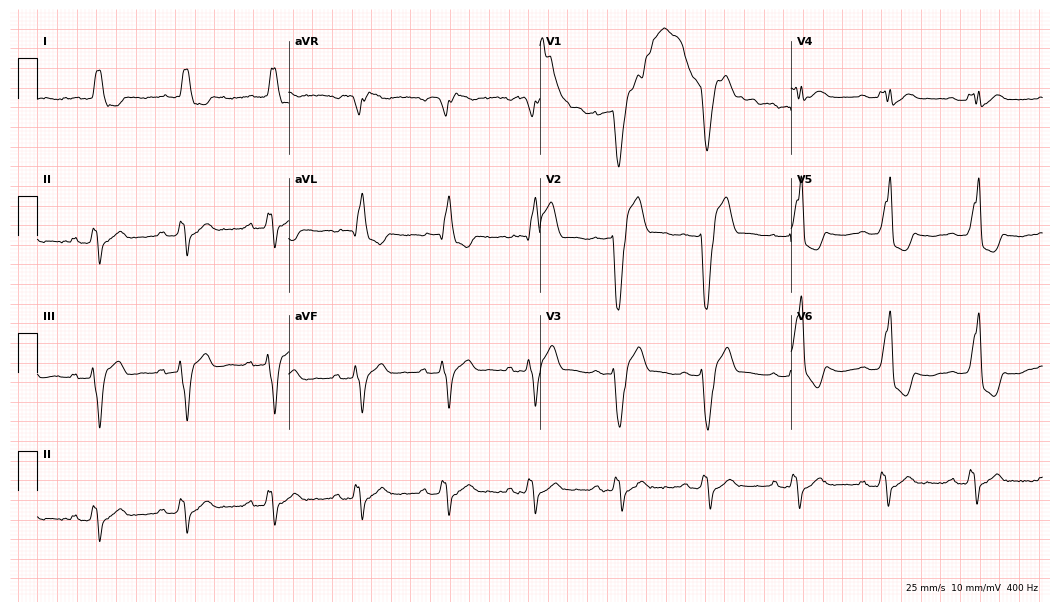
12-lead ECG from an 80-year-old woman. Shows first-degree AV block, left bundle branch block (LBBB).